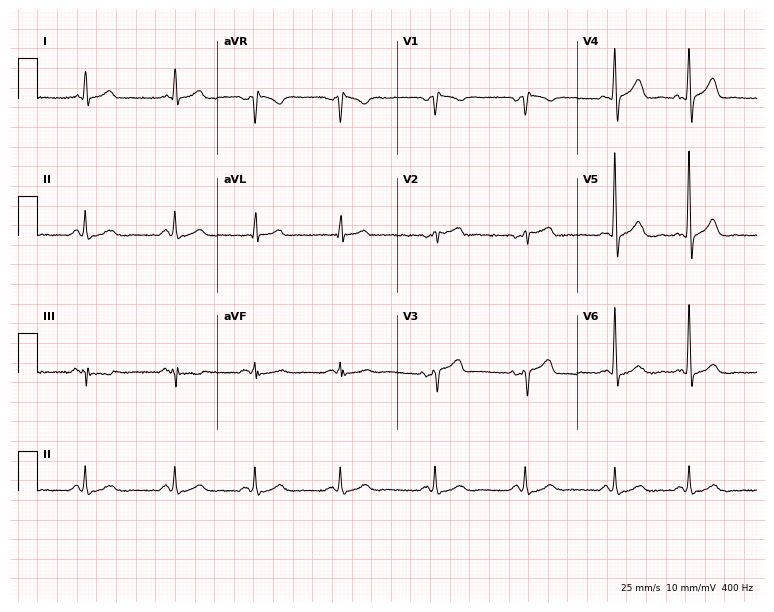
ECG (7.3-second recording at 400 Hz) — a 69-year-old man. Screened for six findings — first-degree AV block, right bundle branch block, left bundle branch block, sinus bradycardia, atrial fibrillation, sinus tachycardia — none is recorded.